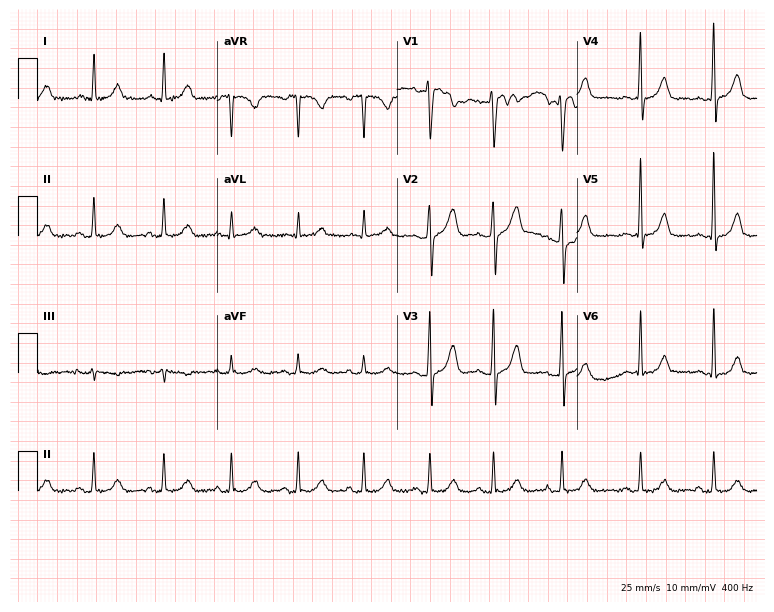
12-lead ECG from a 41-year-old woman (7.3-second recording at 400 Hz). No first-degree AV block, right bundle branch block, left bundle branch block, sinus bradycardia, atrial fibrillation or sinus tachycardia recorded for this tracing.